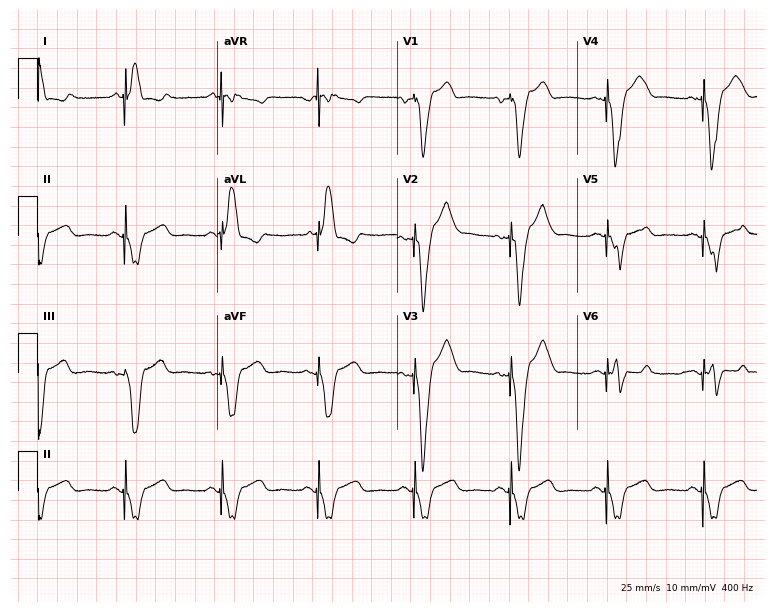
12-lead ECG from a 74-year-old male. Screened for six findings — first-degree AV block, right bundle branch block, left bundle branch block, sinus bradycardia, atrial fibrillation, sinus tachycardia — none is recorded.